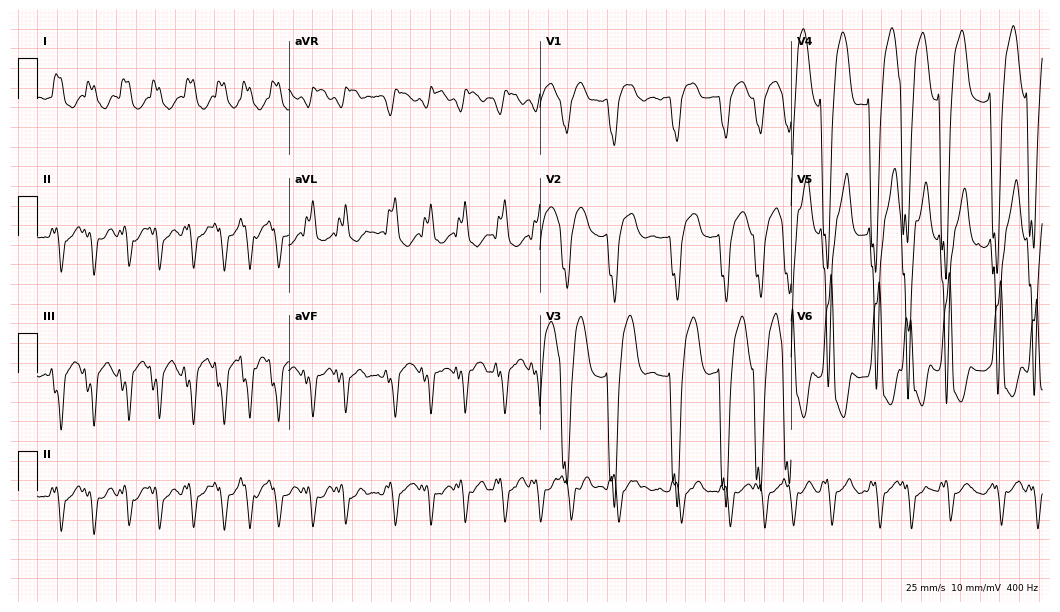
12-lead ECG from an 80-year-old male patient. Findings include left bundle branch block, atrial fibrillation.